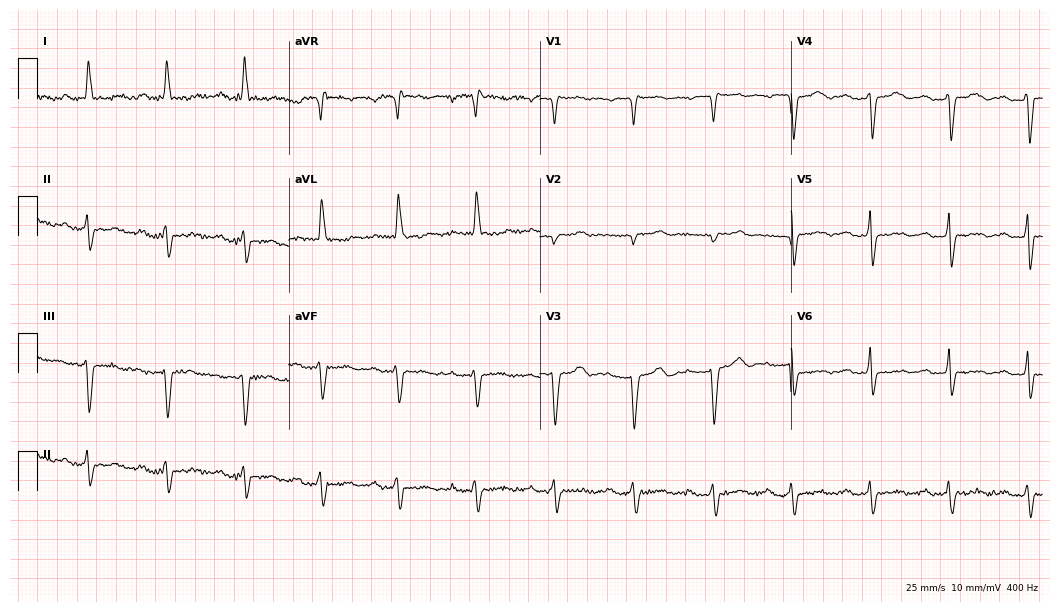
12-lead ECG from an 85-year-old woman (10.2-second recording at 400 Hz). Shows first-degree AV block.